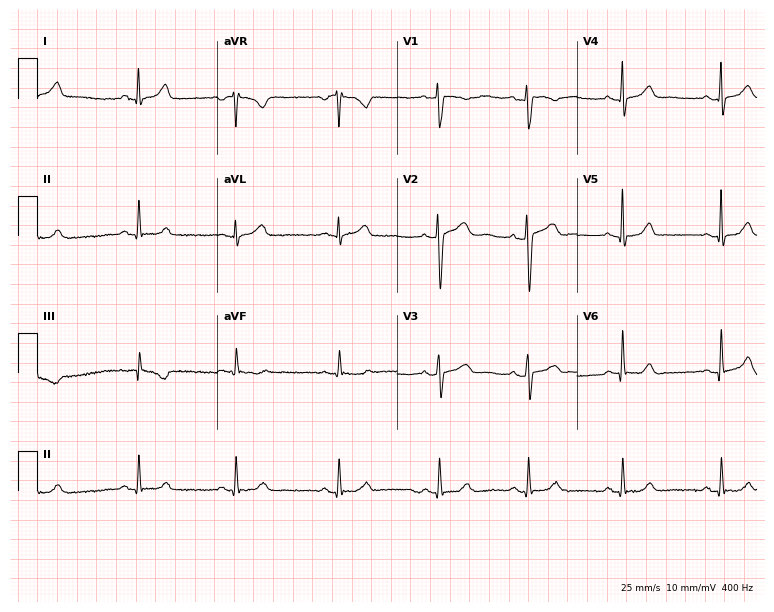
Standard 12-lead ECG recorded from a 28-year-old woman. None of these six findings is recorded: first-degree AV block, right bundle branch block, left bundle branch block, sinus bradycardia, atrial fibrillation, sinus tachycardia.